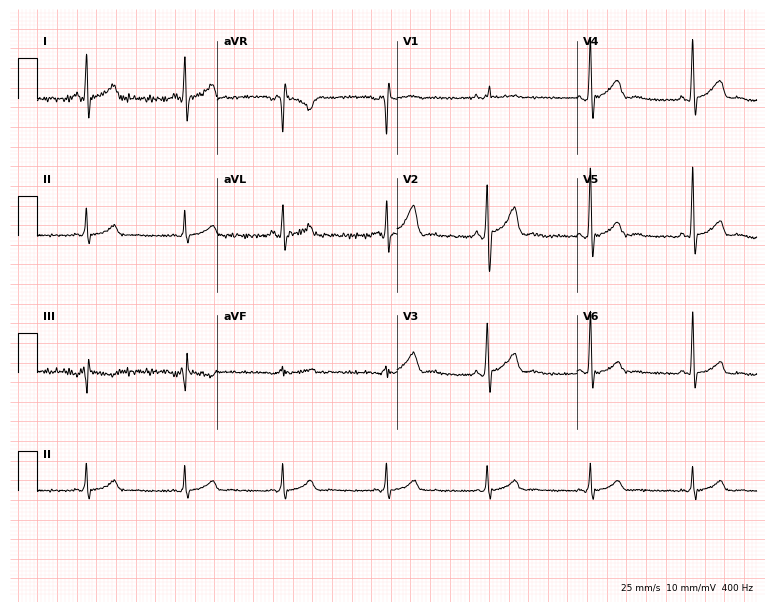
12-lead ECG (7.3-second recording at 400 Hz) from a male, 22 years old. Screened for six findings — first-degree AV block, right bundle branch block, left bundle branch block, sinus bradycardia, atrial fibrillation, sinus tachycardia — none is recorded.